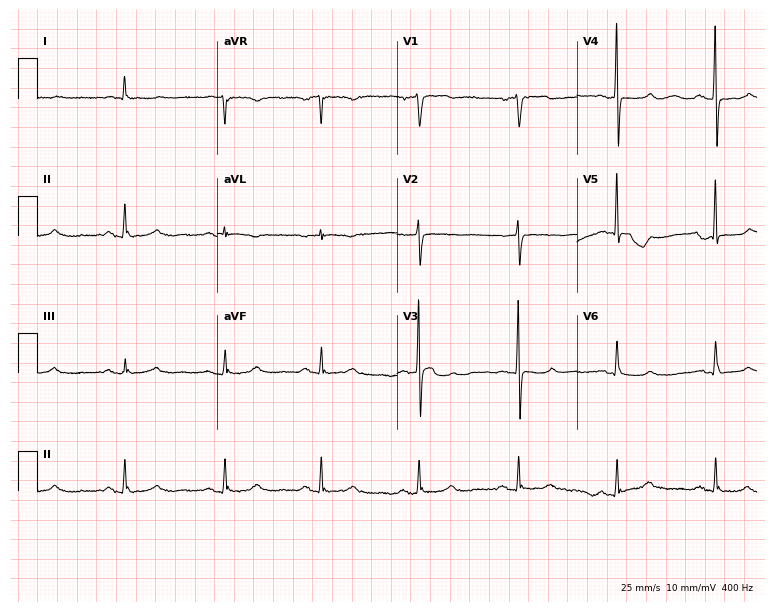
12-lead ECG from a woman, 76 years old. No first-degree AV block, right bundle branch block, left bundle branch block, sinus bradycardia, atrial fibrillation or sinus tachycardia recorded for this tracing. Other findings, if any, are not listed.